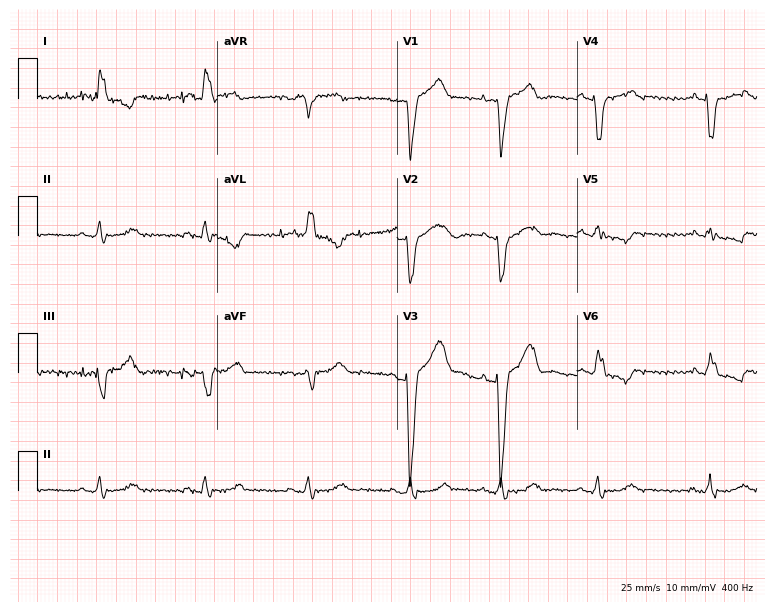
ECG (7.3-second recording at 400 Hz) — a female, 69 years old. Findings include left bundle branch block.